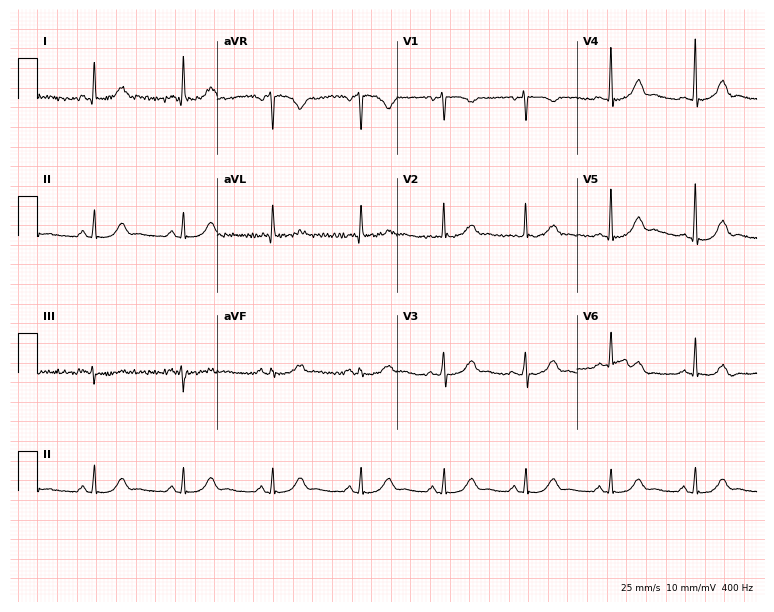
12-lead ECG (7.3-second recording at 400 Hz) from a 73-year-old female. Labelled as a normal ECG.